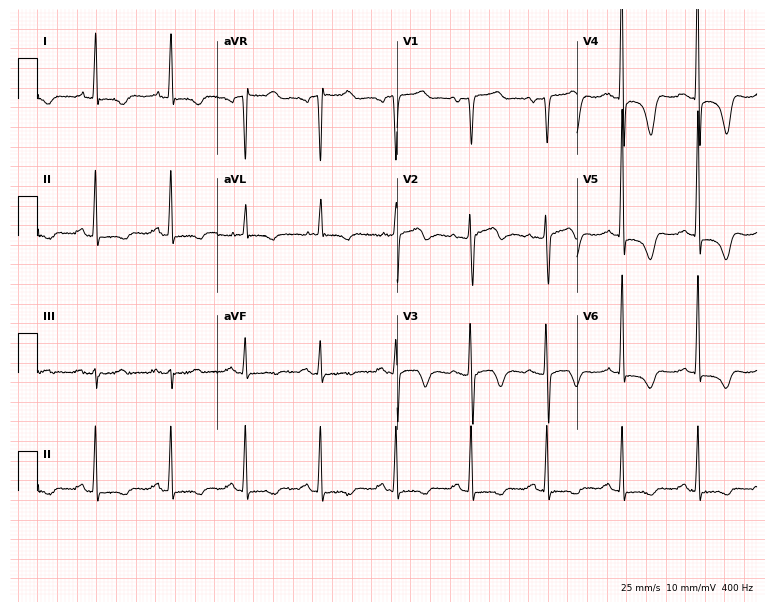
ECG — a 72-year-old female. Screened for six findings — first-degree AV block, right bundle branch block (RBBB), left bundle branch block (LBBB), sinus bradycardia, atrial fibrillation (AF), sinus tachycardia — none is recorded.